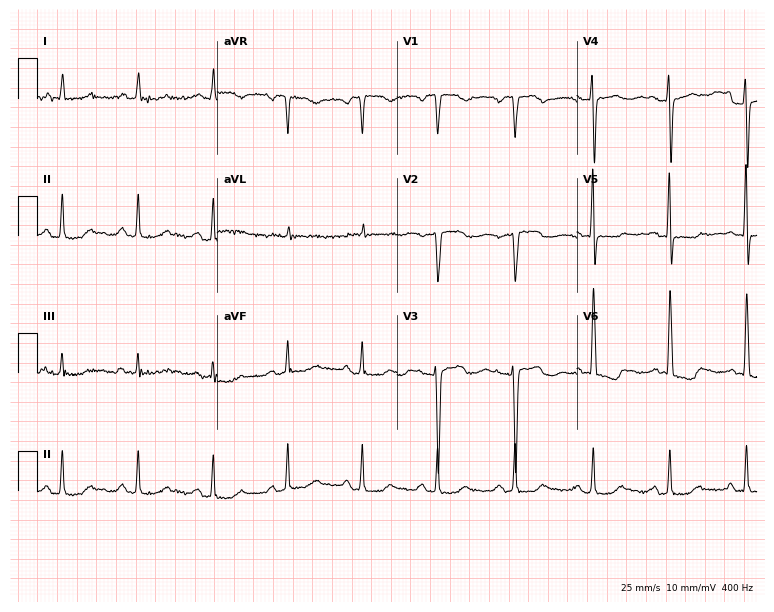
Standard 12-lead ECG recorded from a woman, 55 years old (7.3-second recording at 400 Hz). None of these six findings is recorded: first-degree AV block, right bundle branch block, left bundle branch block, sinus bradycardia, atrial fibrillation, sinus tachycardia.